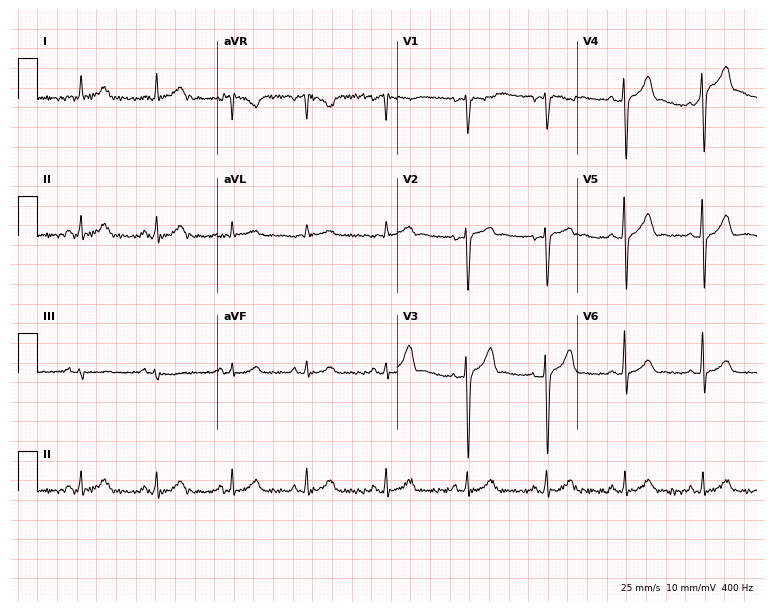
Electrocardiogram, a male patient, 53 years old. Overall reading on record: normal ECG.